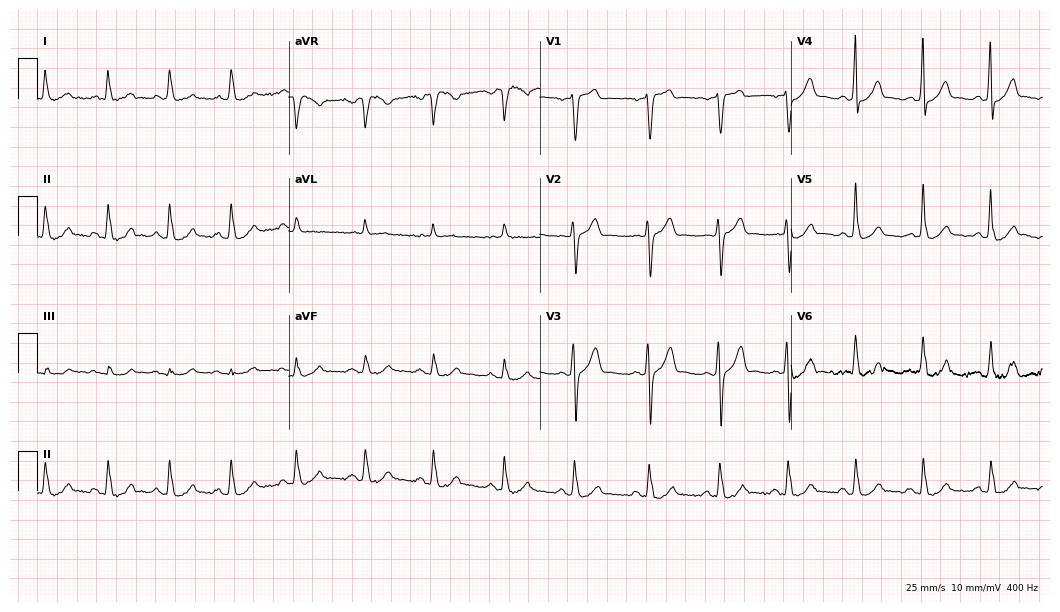
Standard 12-lead ECG recorded from a male, 52 years old (10.2-second recording at 400 Hz). Read as a normal ECG.